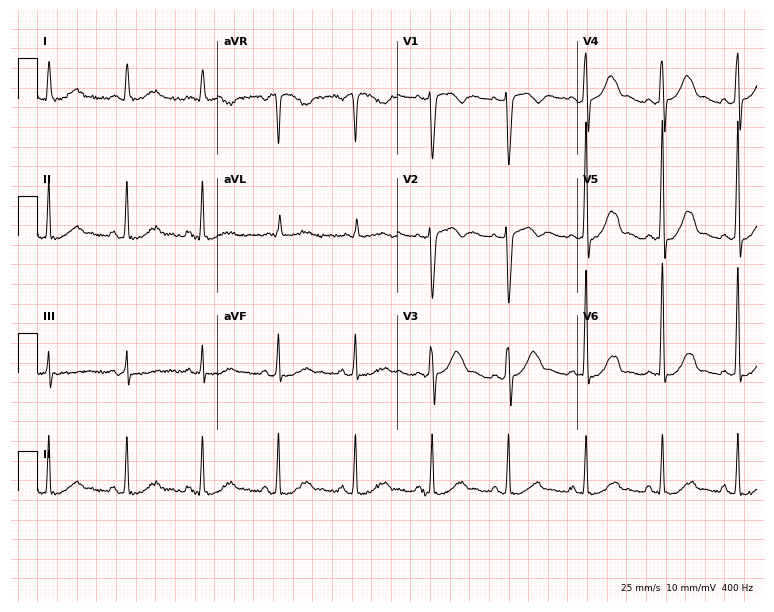
Electrocardiogram, a 38-year-old female. Of the six screened findings (first-degree AV block, right bundle branch block, left bundle branch block, sinus bradycardia, atrial fibrillation, sinus tachycardia), none is recorded. Findings outside these six are not listed.